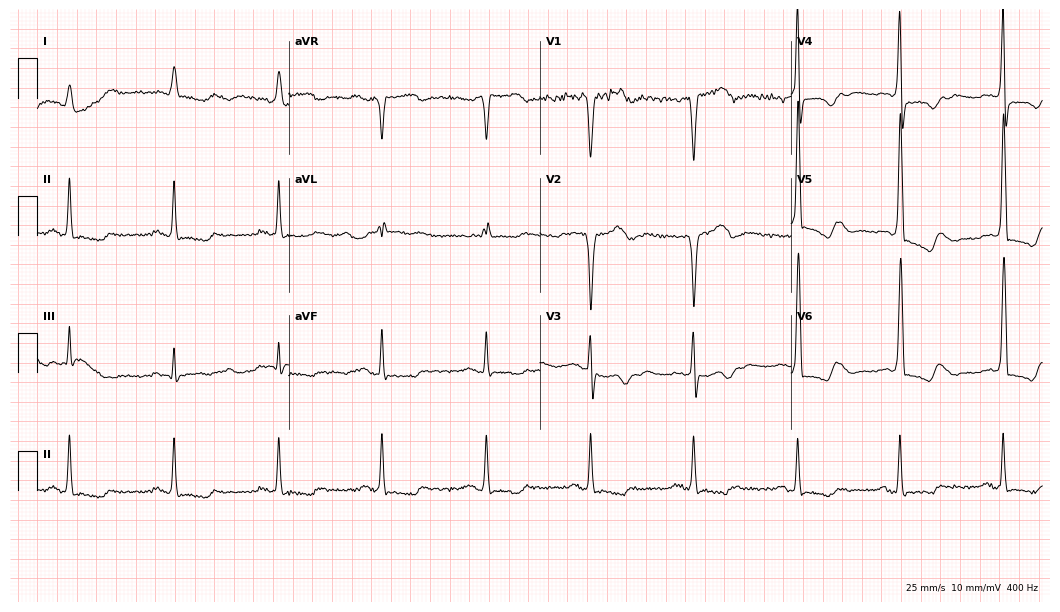
Resting 12-lead electrocardiogram. Patient: a man, 69 years old. None of these six findings is recorded: first-degree AV block, right bundle branch block, left bundle branch block, sinus bradycardia, atrial fibrillation, sinus tachycardia. Findings outside these six are not listed.